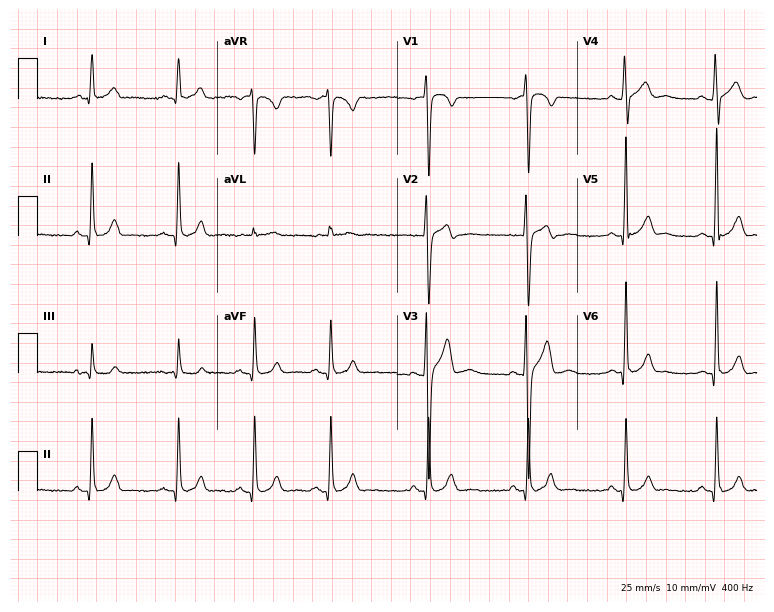
12-lead ECG (7.3-second recording at 400 Hz) from a 19-year-old male patient. Labelled as a normal ECG.